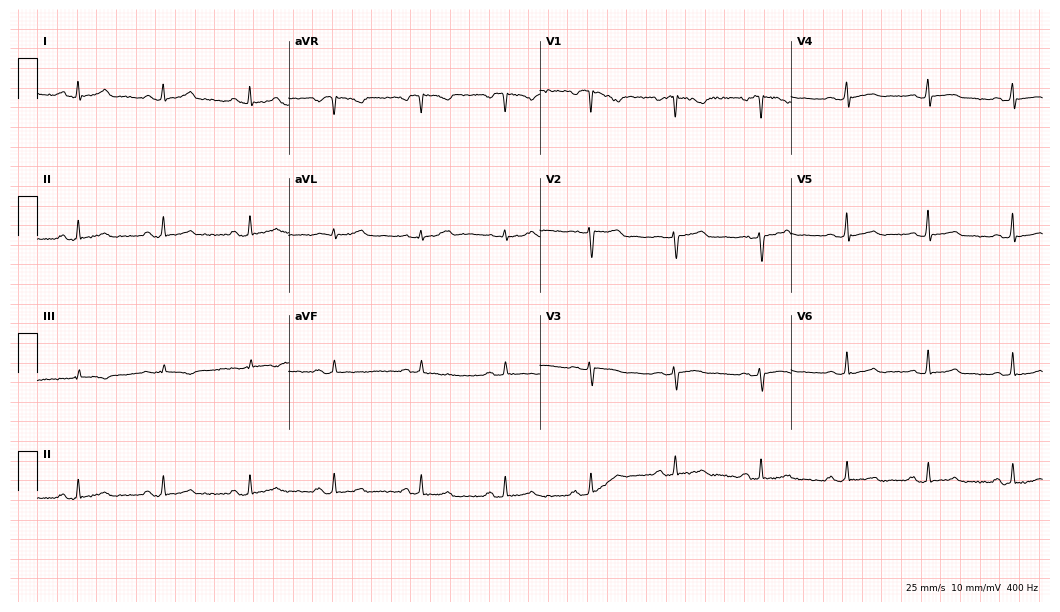
12-lead ECG from a 32-year-old woman. Labelled as a normal ECG.